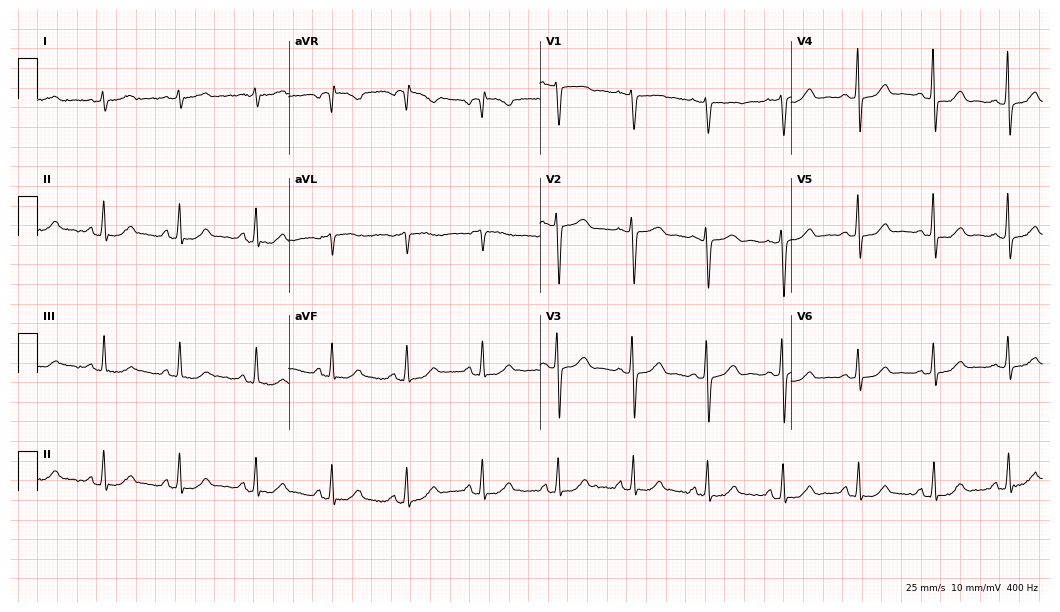
12-lead ECG from a female patient, 76 years old. Recorded interpretation: within normal limits.